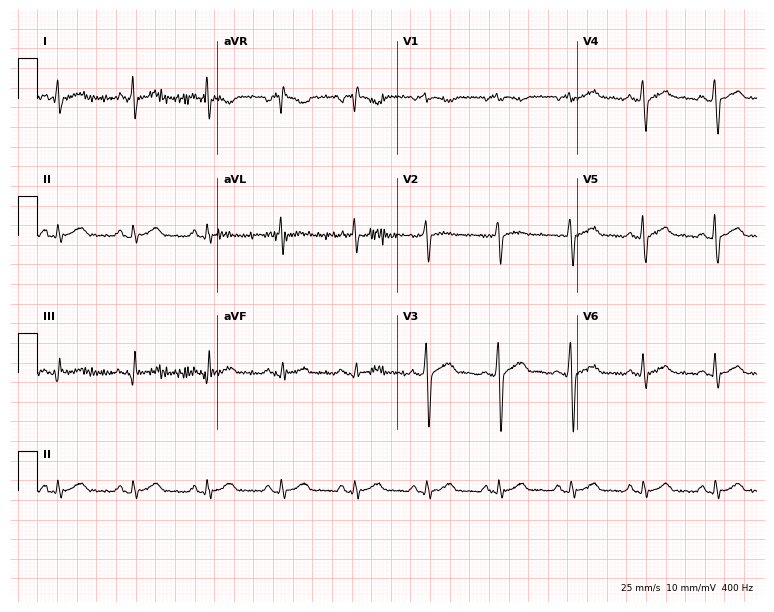
Electrocardiogram, a male, 40 years old. Overall reading on record: normal ECG.